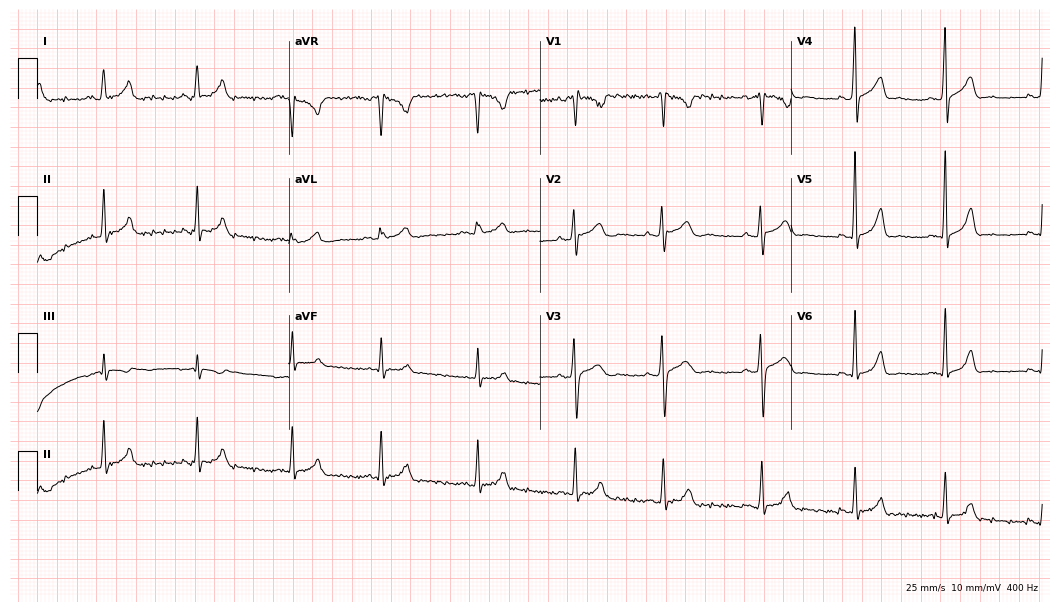
ECG — a woman, 27 years old. Screened for six findings — first-degree AV block, right bundle branch block, left bundle branch block, sinus bradycardia, atrial fibrillation, sinus tachycardia — none is recorded.